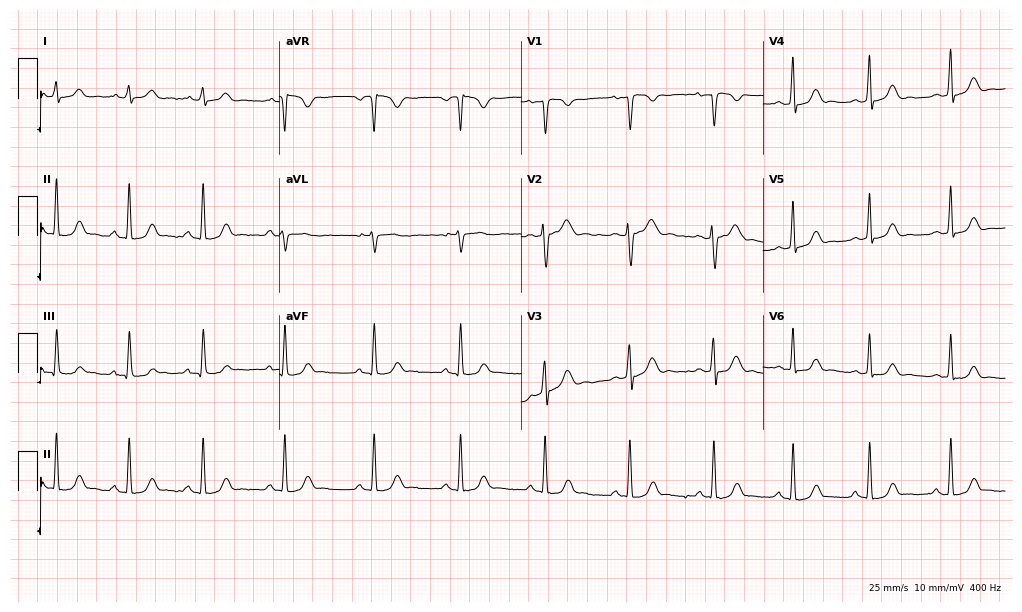
Standard 12-lead ECG recorded from a 27-year-old female patient (9.9-second recording at 400 Hz). Read as a normal ECG.